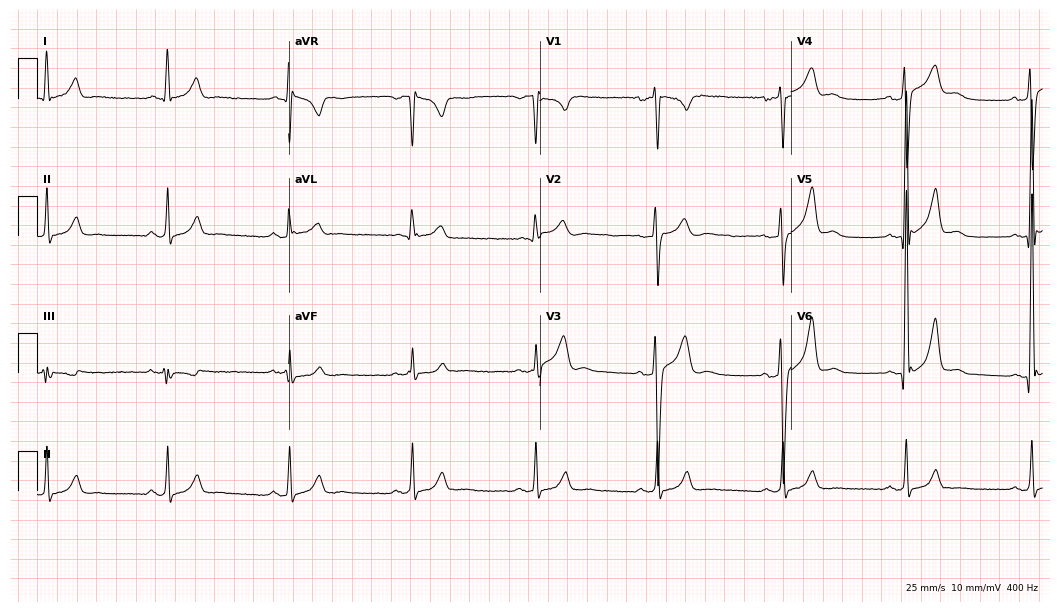
ECG (10.2-second recording at 400 Hz) — a 46-year-old male patient. Findings include sinus bradycardia (a sinus rate of 50 beats per minute or less).